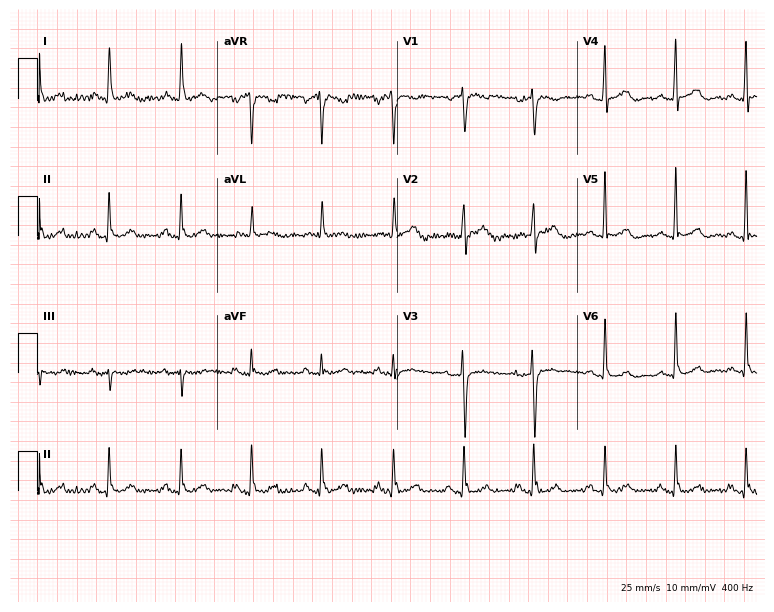
Standard 12-lead ECG recorded from an 82-year-old male patient (7.3-second recording at 400 Hz). Read as a normal ECG.